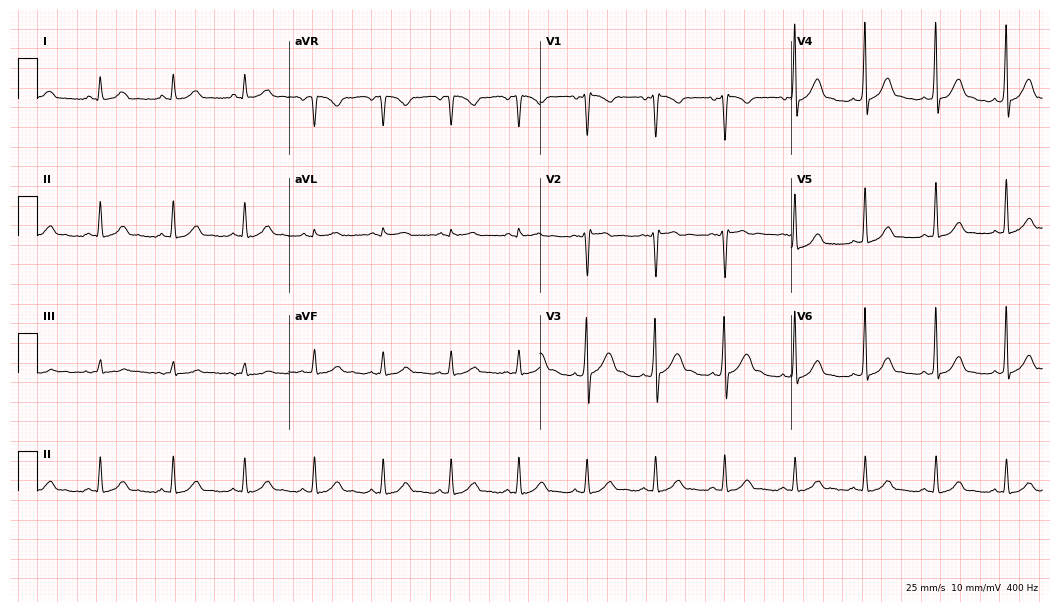
Standard 12-lead ECG recorded from a male, 27 years old. Read as a normal ECG.